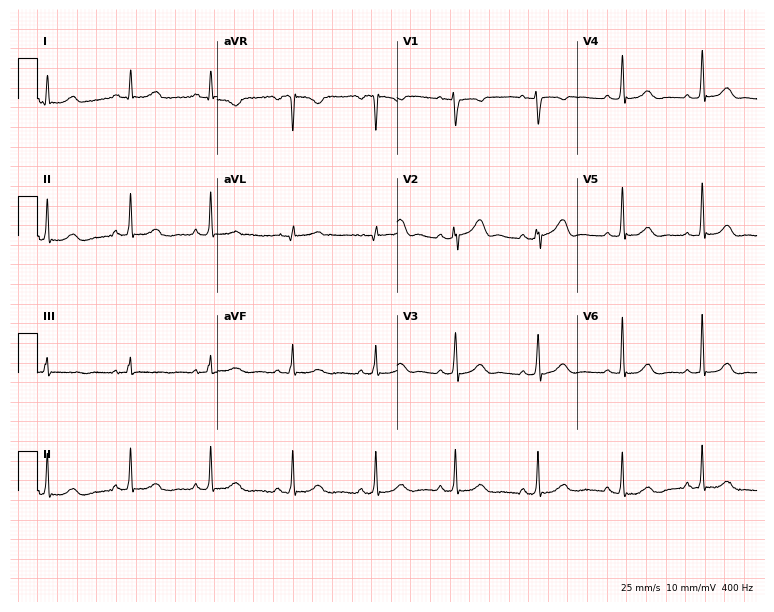
Resting 12-lead electrocardiogram (7.3-second recording at 400 Hz). Patient: a female, 37 years old. Read as a normal ECG.